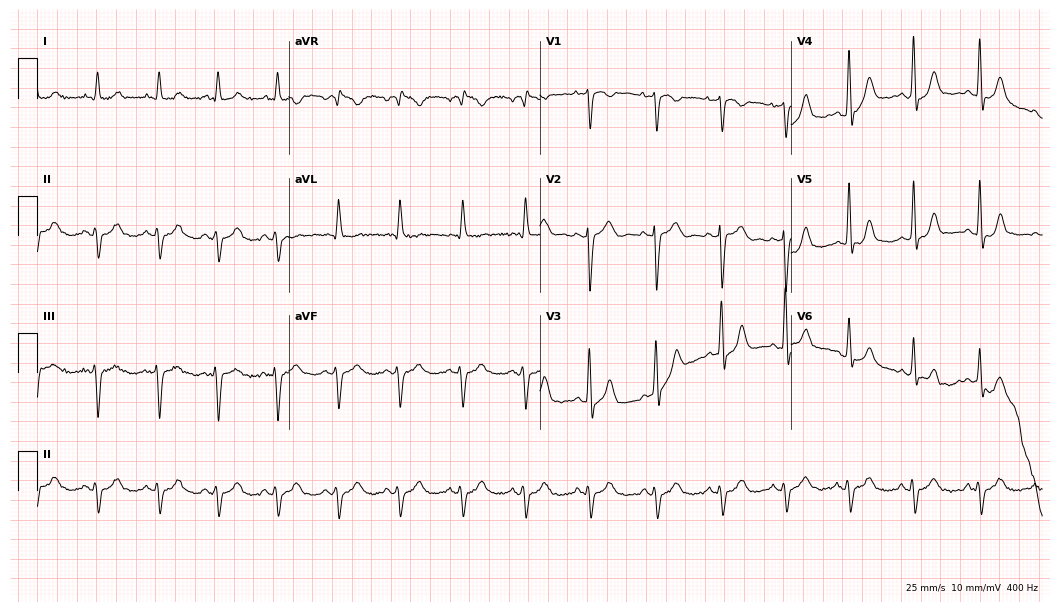
Electrocardiogram (10.2-second recording at 400 Hz), an 84-year-old female patient. Of the six screened findings (first-degree AV block, right bundle branch block (RBBB), left bundle branch block (LBBB), sinus bradycardia, atrial fibrillation (AF), sinus tachycardia), none is recorded. Findings outside these six are not listed.